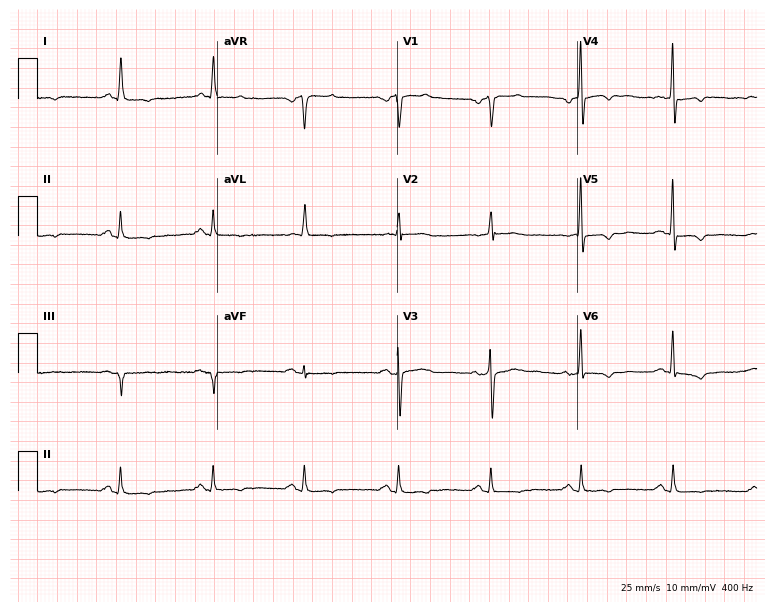
12-lead ECG from a man, 68 years old. No first-degree AV block, right bundle branch block, left bundle branch block, sinus bradycardia, atrial fibrillation or sinus tachycardia recorded for this tracing.